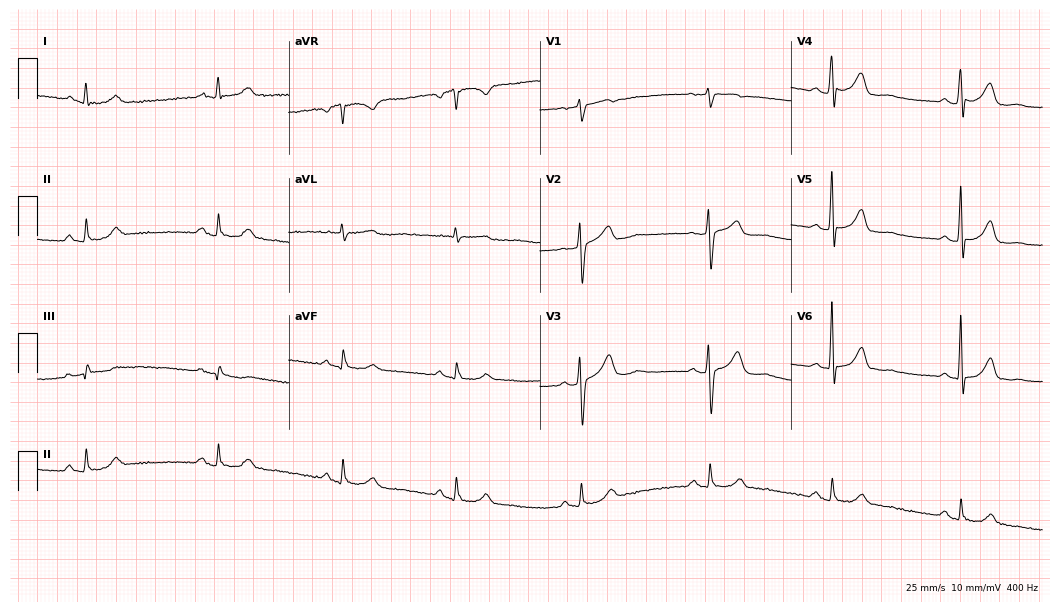
12-lead ECG (10.2-second recording at 400 Hz) from a male, 66 years old. Findings include sinus bradycardia (a sinus rate of 50 beats per minute or less).